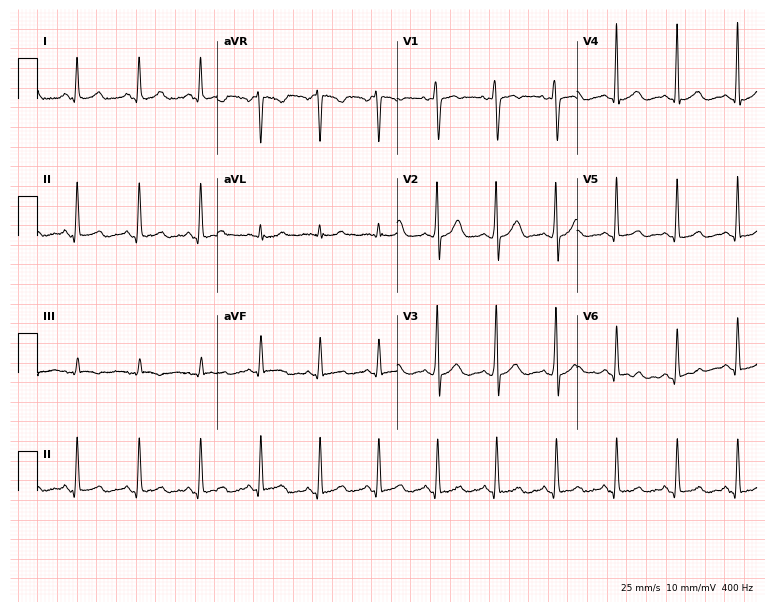
ECG — a 30-year-old woman. Labelled as a normal ECG.